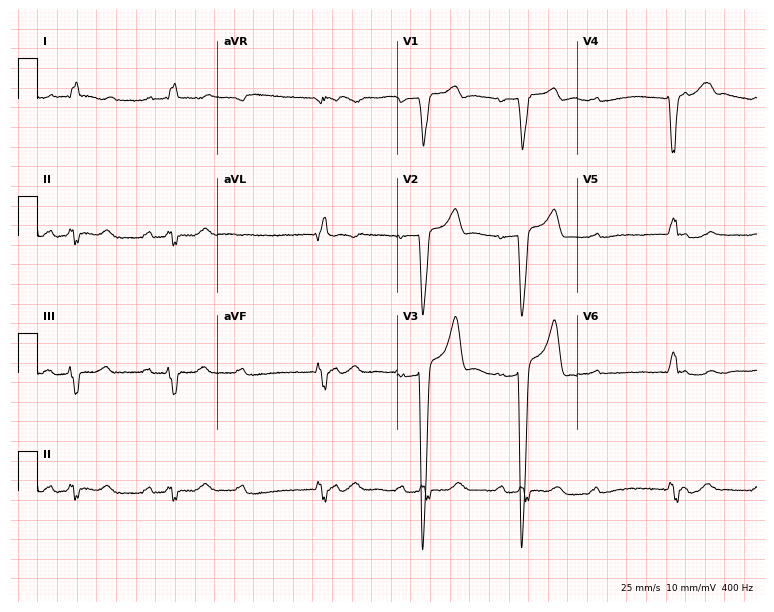
12-lead ECG from a male, 76 years old (7.3-second recording at 400 Hz). Shows first-degree AV block, left bundle branch block.